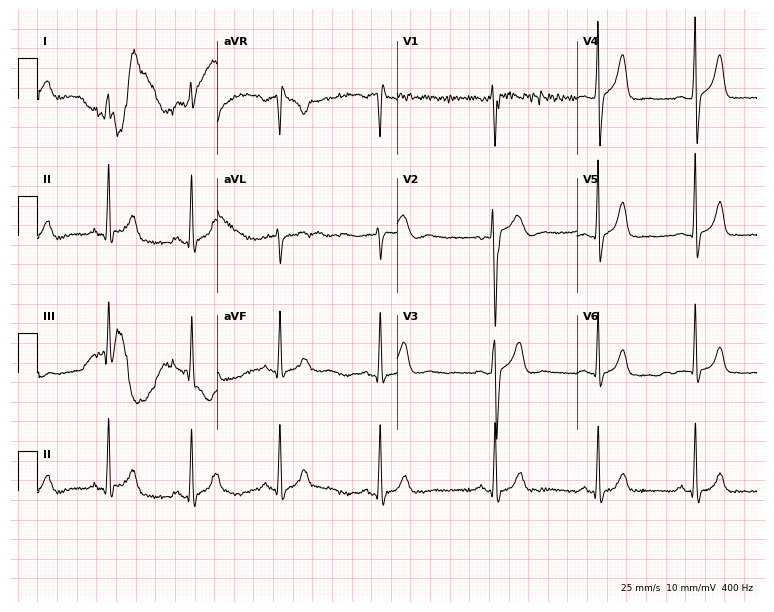
12-lead ECG (7.3-second recording at 400 Hz) from a 24-year-old male. Labelled as a normal ECG.